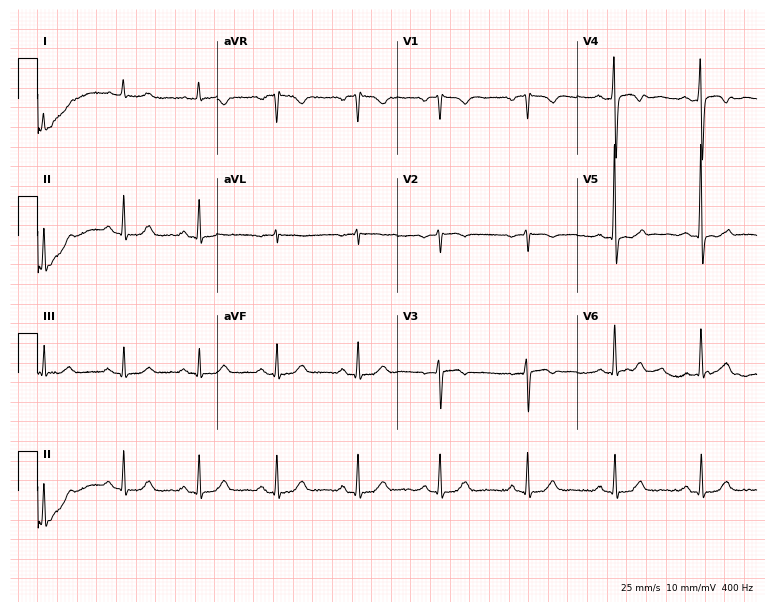
12-lead ECG from a 69-year-old woman. No first-degree AV block, right bundle branch block, left bundle branch block, sinus bradycardia, atrial fibrillation or sinus tachycardia recorded for this tracing.